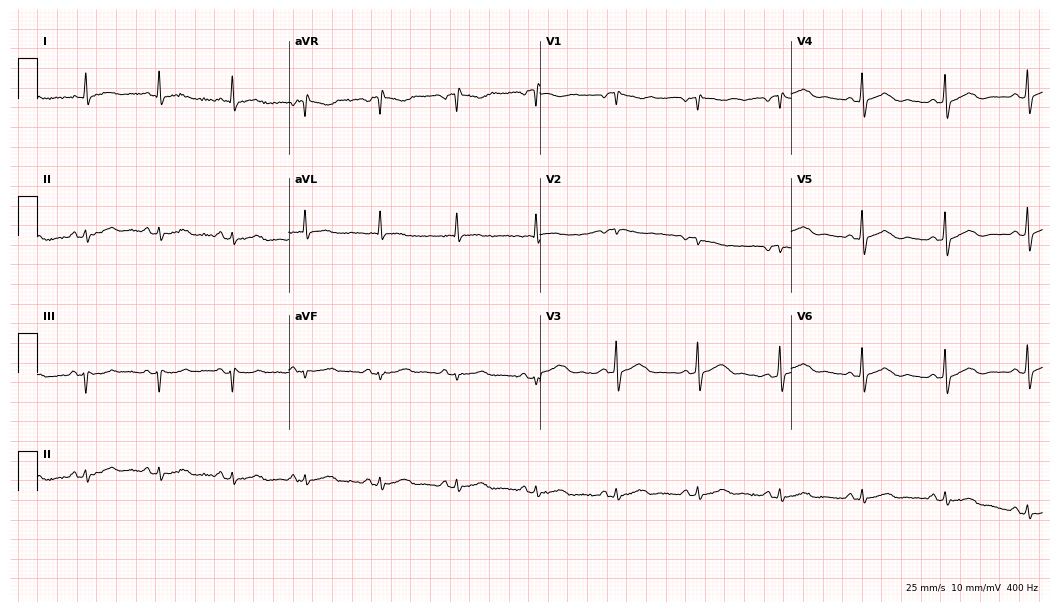
Electrocardiogram (10.2-second recording at 400 Hz), a 60-year-old woman. Overall reading on record: normal ECG.